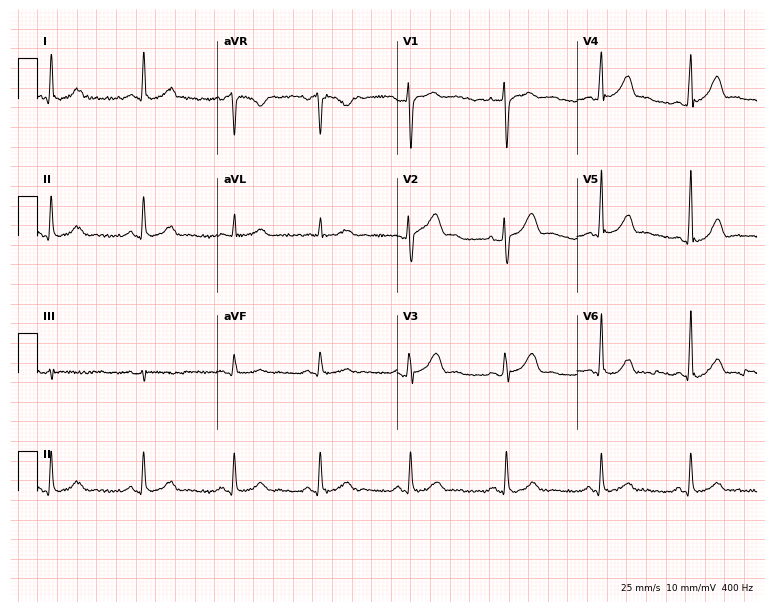
12-lead ECG (7.3-second recording at 400 Hz) from a 47-year-old female patient. Screened for six findings — first-degree AV block, right bundle branch block, left bundle branch block, sinus bradycardia, atrial fibrillation, sinus tachycardia — none is recorded.